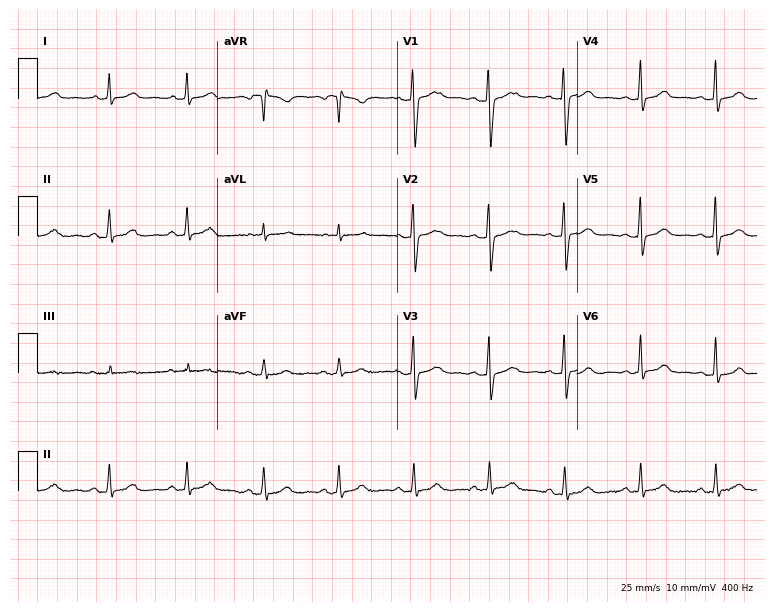
Electrocardiogram (7.3-second recording at 400 Hz), a 34-year-old woman. Overall reading on record: normal ECG.